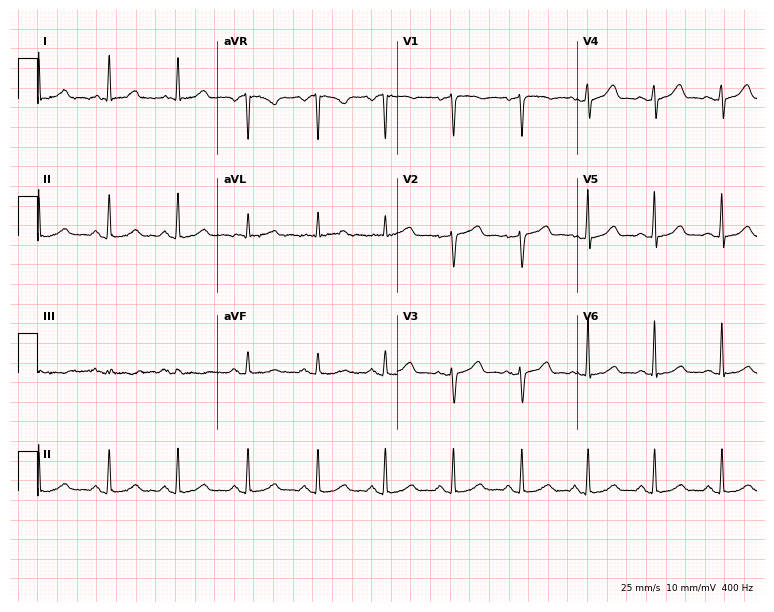
Resting 12-lead electrocardiogram. Patient: a 52-year-old female. None of these six findings is recorded: first-degree AV block, right bundle branch block, left bundle branch block, sinus bradycardia, atrial fibrillation, sinus tachycardia. Findings outside these six are not listed.